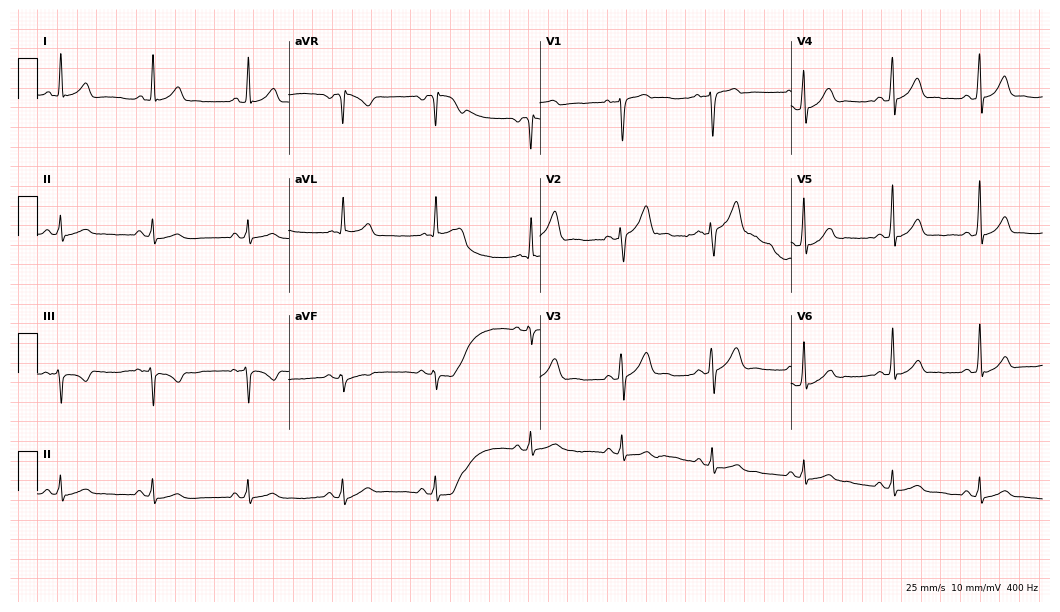
12-lead ECG from a male, 26 years old. Recorded interpretation: within normal limits.